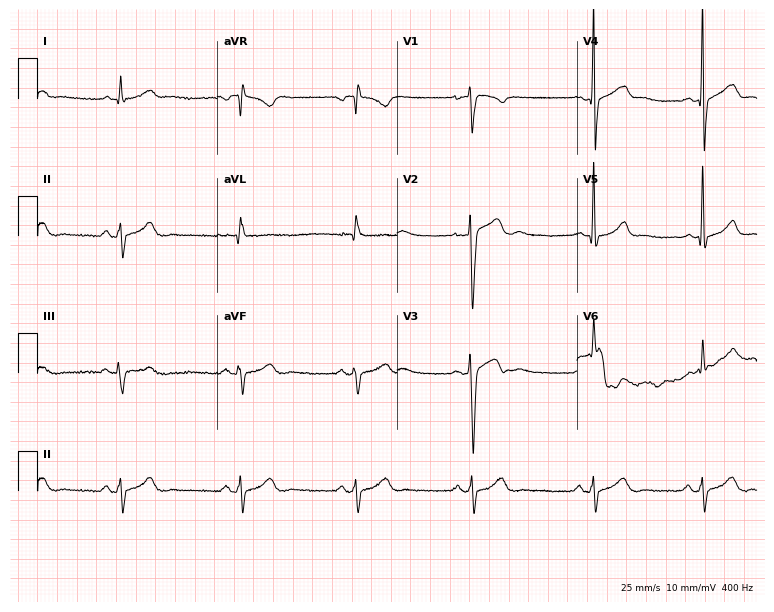
Standard 12-lead ECG recorded from a 30-year-old male (7.3-second recording at 400 Hz). None of these six findings is recorded: first-degree AV block, right bundle branch block, left bundle branch block, sinus bradycardia, atrial fibrillation, sinus tachycardia. Findings outside these six are not listed.